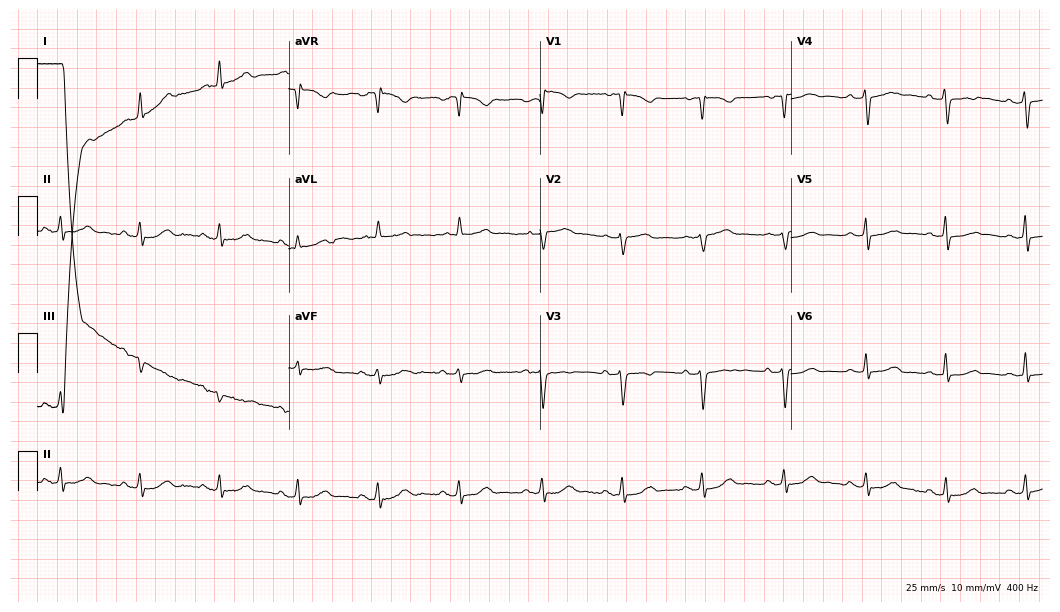
Standard 12-lead ECG recorded from a female patient, 54 years old. None of these six findings is recorded: first-degree AV block, right bundle branch block, left bundle branch block, sinus bradycardia, atrial fibrillation, sinus tachycardia.